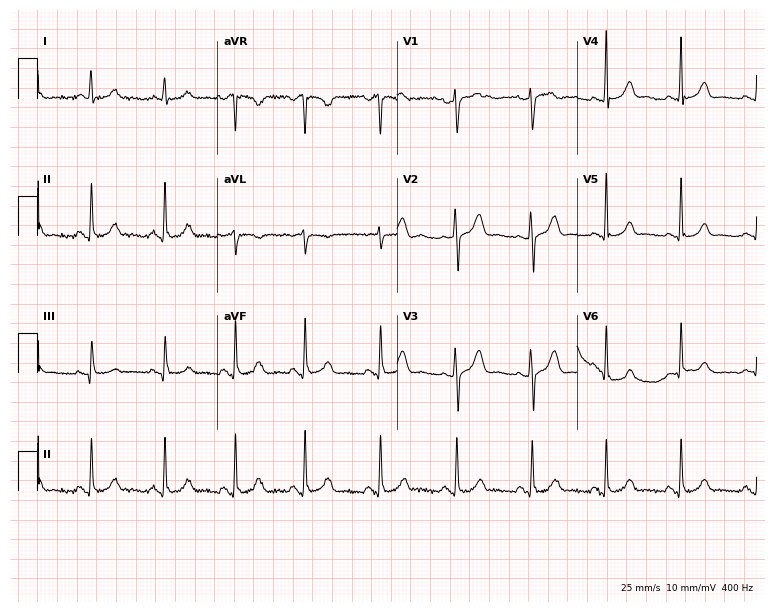
12-lead ECG from a woman, 35 years old (7.3-second recording at 400 Hz). Recorded interpretation: within normal limits.